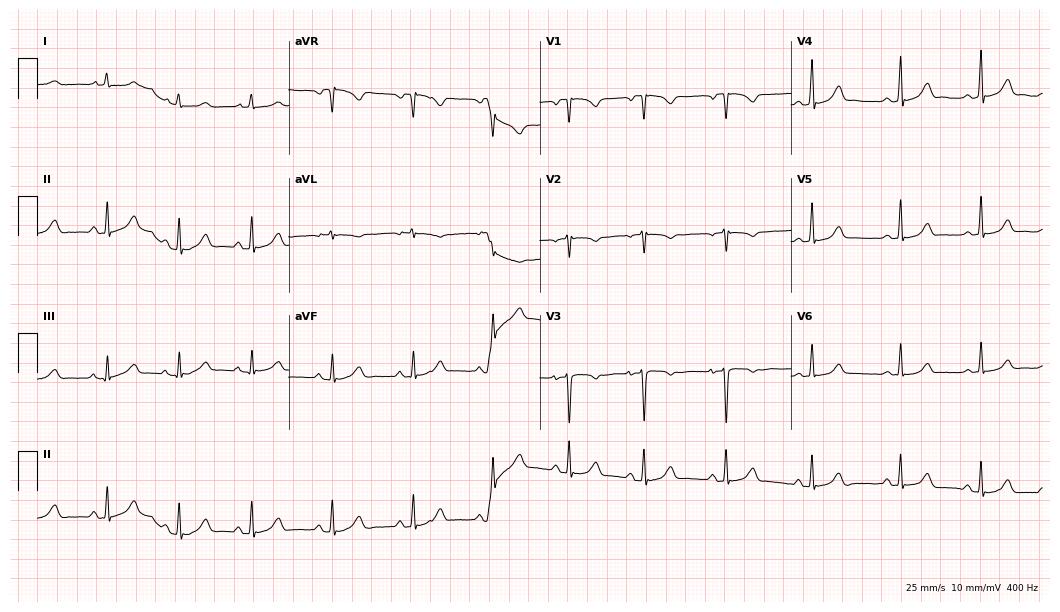
12-lead ECG (10.2-second recording at 400 Hz) from a 17-year-old woman. Screened for six findings — first-degree AV block, right bundle branch block, left bundle branch block, sinus bradycardia, atrial fibrillation, sinus tachycardia — none is recorded. Findings outside these six are not listed.